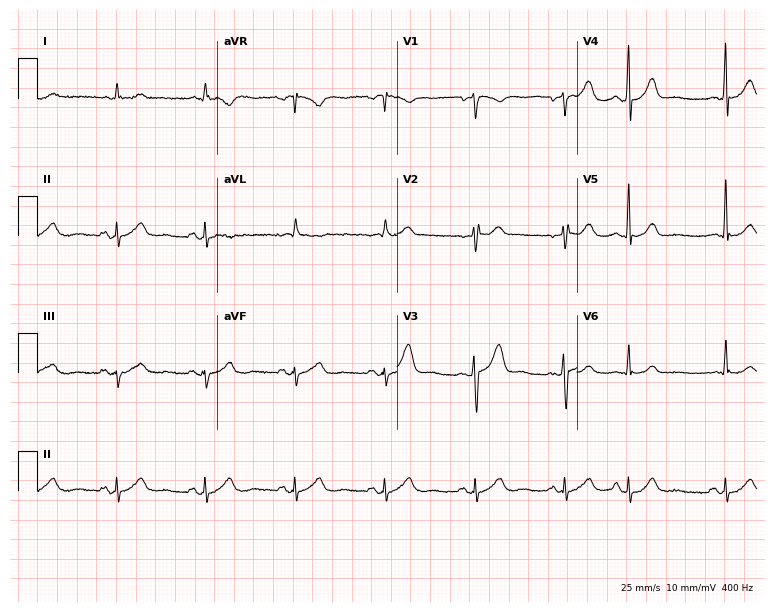
Electrocardiogram (7.3-second recording at 400 Hz), a male patient, 74 years old. Of the six screened findings (first-degree AV block, right bundle branch block, left bundle branch block, sinus bradycardia, atrial fibrillation, sinus tachycardia), none is recorded. Findings outside these six are not listed.